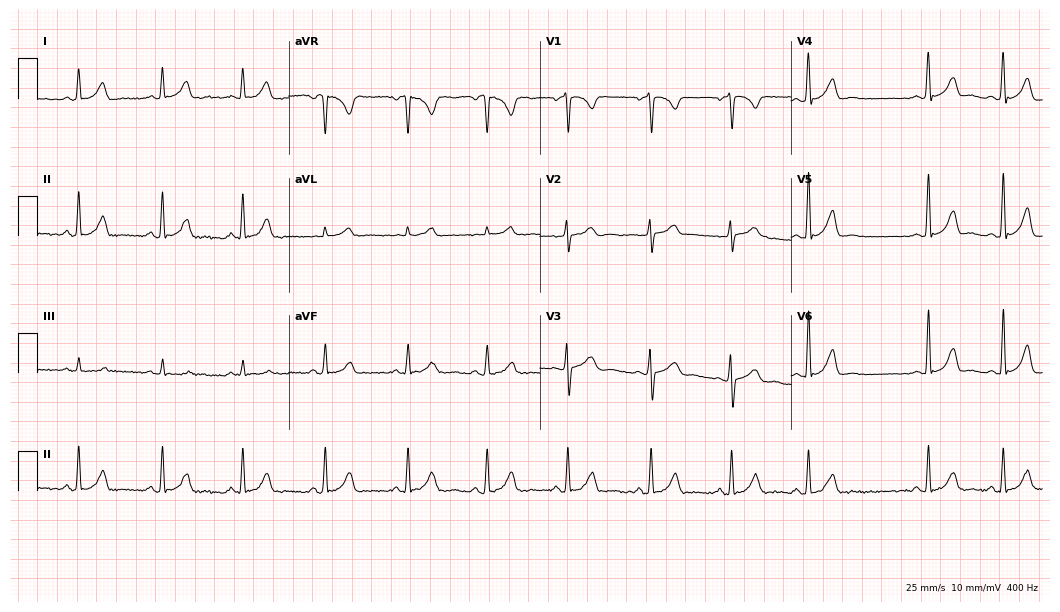
Electrocardiogram (10.2-second recording at 400 Hz), a 40-year-old female patient. Overall reading on record: normal ECG.